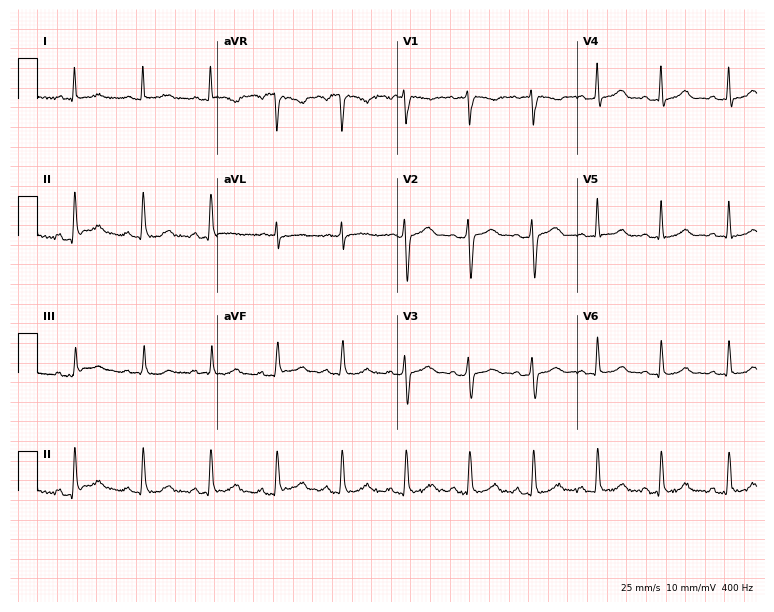
12-lead ECG from a woman, 43 years old (7.3-second recording at 400 Hz). Recorded interpretation: within normal limits.